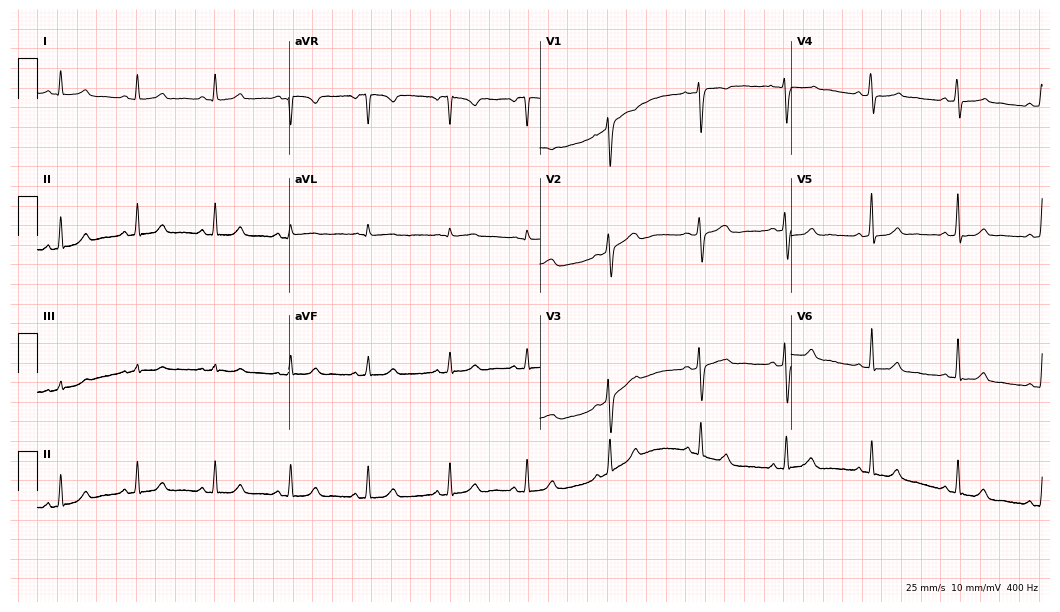
Electrocardiogram, a 40-year-old female. Overall reading on record: normal ECG.